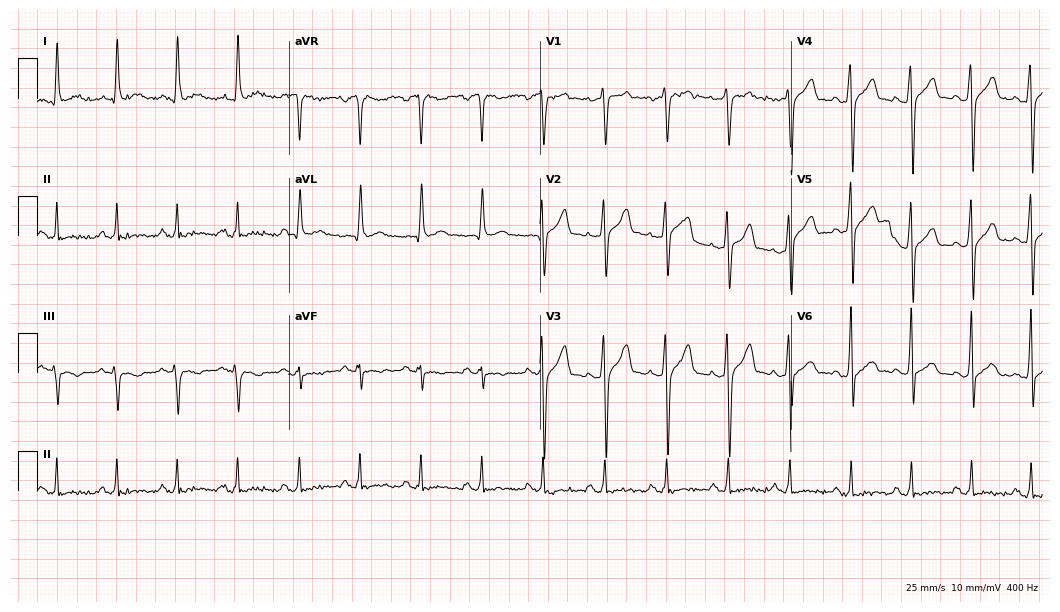
ECG — a male, 56 years old. Screened for six findings — first-degree AV block, right bundle branch block, left bundle branch block, sinus bradycardia, atrial fibrillation, sinus tachycardia — none is recorded. Only these six findings were labelled.